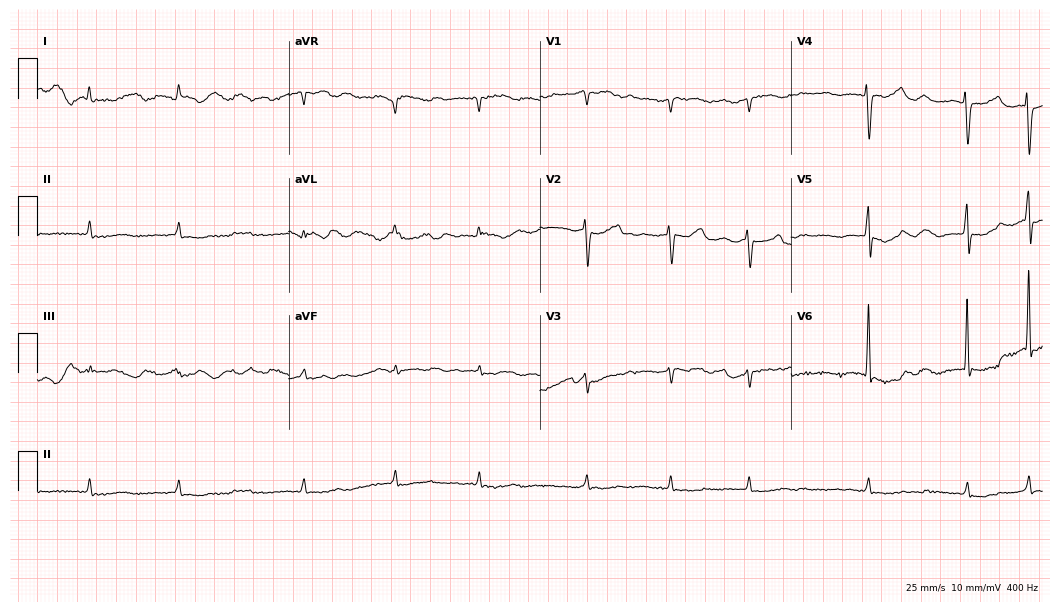
12-lead ECG from an 82-year-old male. Findings include atrial fibrillation (AF).